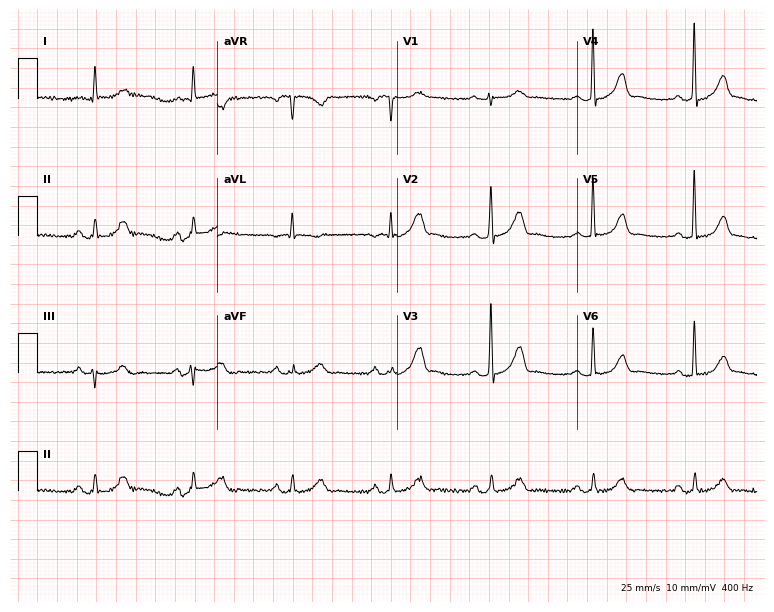
ECG (7.3-second recording at 400 Hz) — a 76-year-old male patient. Labelled as a normal ECG.